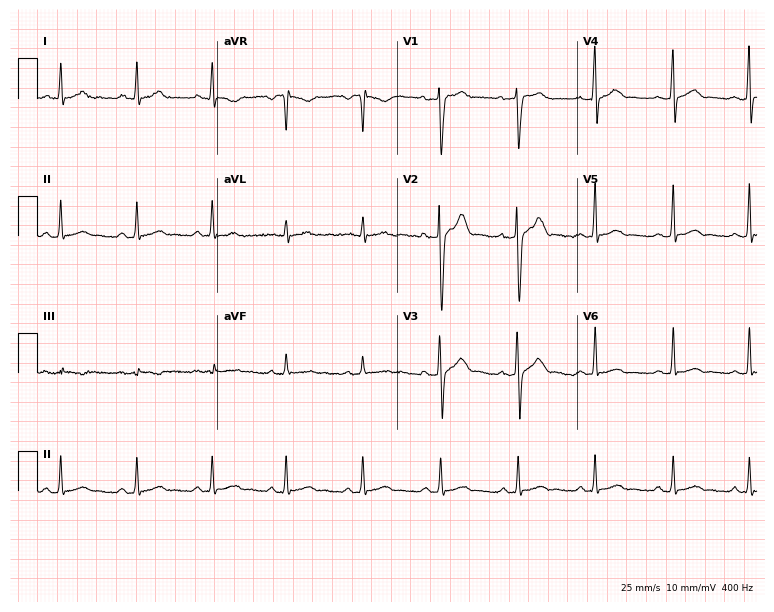
Electrocardiogram (7.3-second recording at 400 Hz), a 29-year-old man. Of the six screened findings (first-degree AV block, right bundle branch block, left bundle branch block, sinus bradycardia, atrial fibrillation, sinus tachycardia), none is recorded.